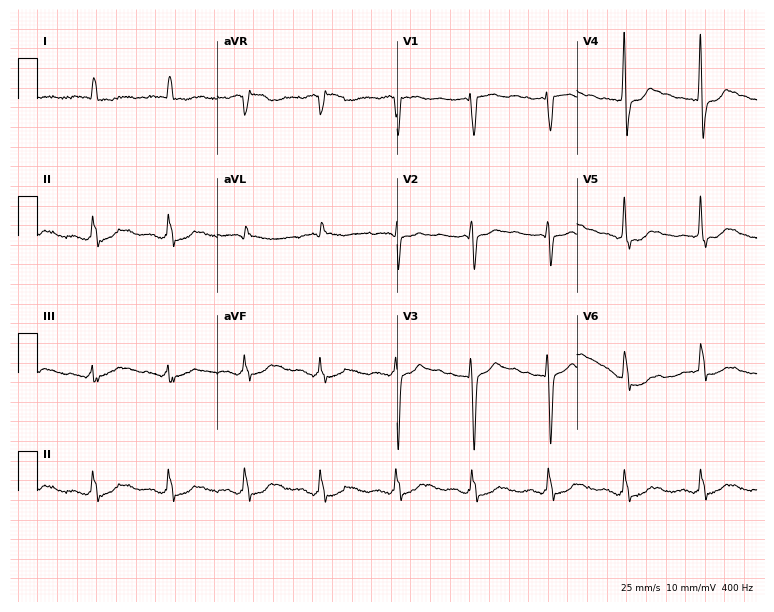
12-lead ECG from a 74-year-old male (7.3-second recording at 400 Hz). No first-degree AV block, right bundle branch block (RBBB), left bundle branch block (LBBB), sinus bradycardia, atrial fibrillation (AF) or sinus tachycardia recorded for this tracing.